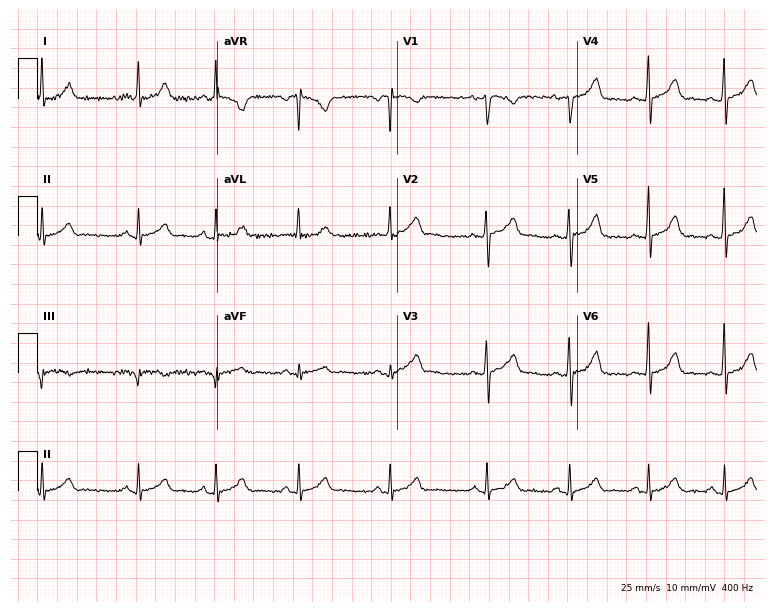
12-lead ECG (7.3-second recording at 400 Hz) from a 33-year-old female. Labelled as a normal ECG.